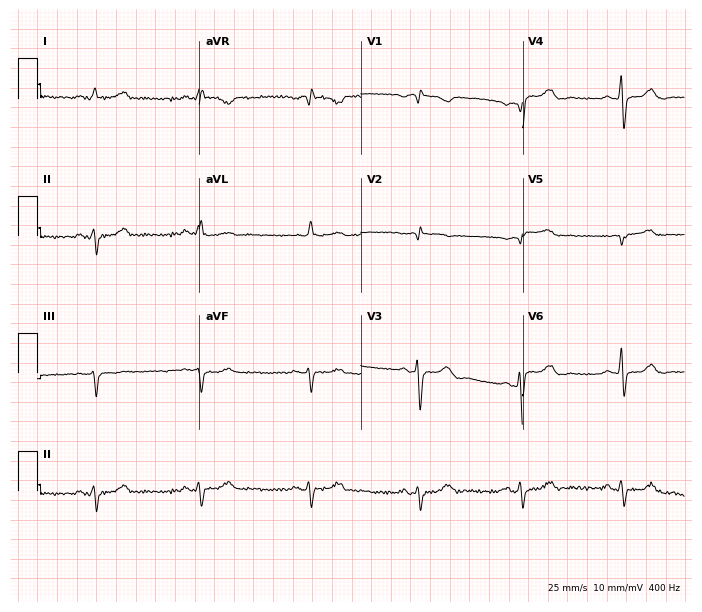
Resting 12-lead electrocardiogram (6.6-second recording at 400 Hz). Patient: a 59-year-old female. None of these six findings is recorded: first-degree AV block, right bundle branch block, left bundle branch block, sinus bradycardia, atrial fibrillation, sinus tachycardia.